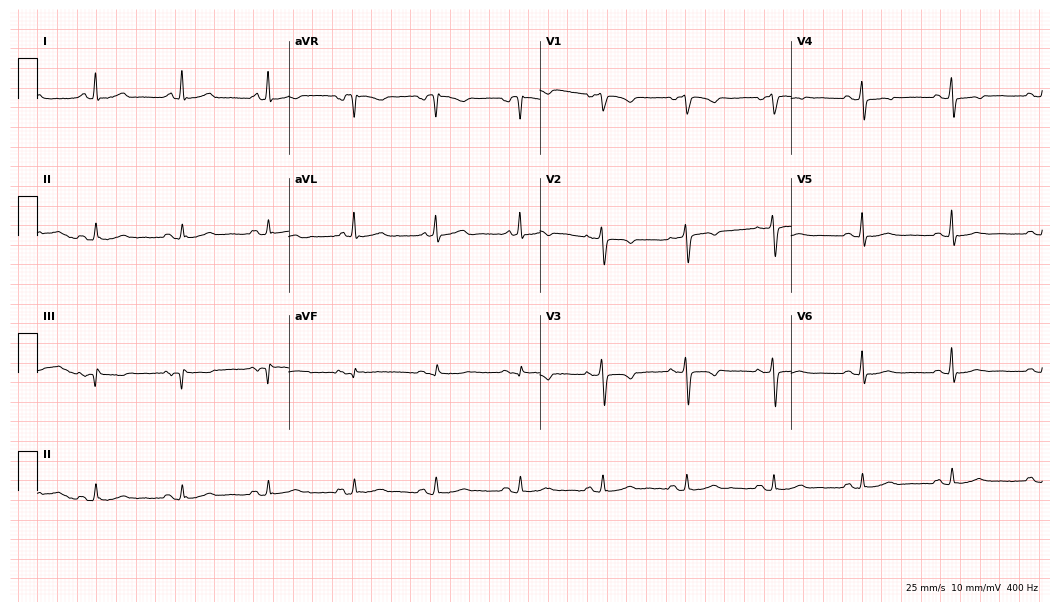
ECG — a 56-year-old woman. Screened for six findings — first-degree AV block, right bundle branch block (RBBB), left bundle branch block (LBBB), sinus bradycardia, atrial fibrillation (AF), sinus tachycardia — none is recorded.